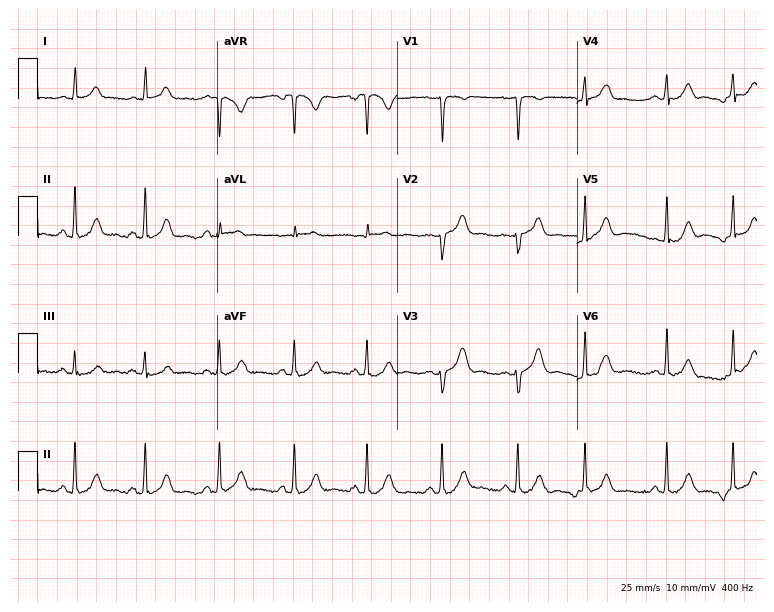
12-lead ECG from a 24-year-old female. No first-degree AV block, right bundle branch block (RBBB), left bundle branch block (LBBB), sinus bradycardia, atrial fibrillation (AF) or sinus tachycardia recorded for this tracing. Findings outside these six are not listed.